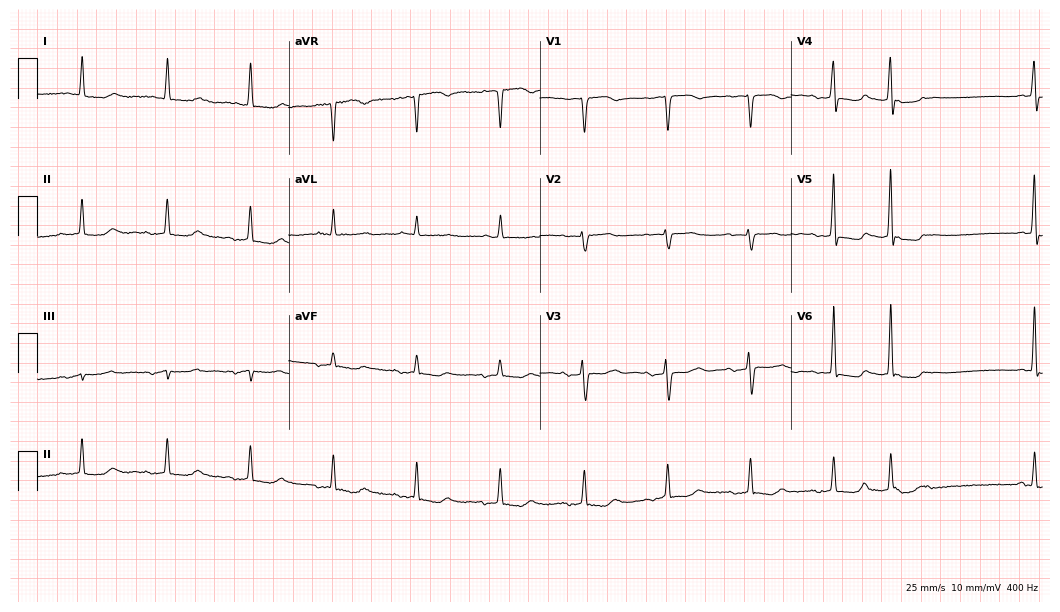
Electrocardiogram, a female patient, 81 years old. Of the six screened findings (first-degree AV block, right bundle branch block (RBBB), left bundle branch block (LBBB), sinus bradycardia, atrial fibrillation (AF), sinus tachycardia), none is recorded. Only these six findings were labelled.